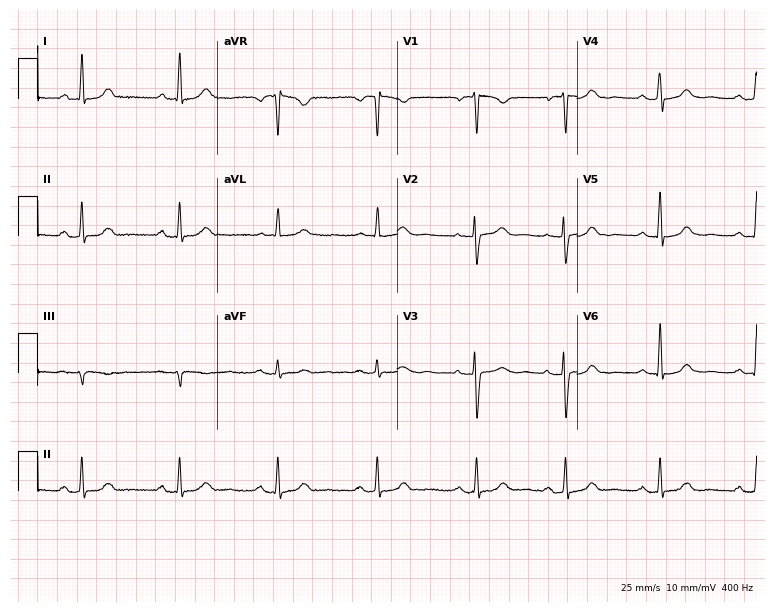
Electrocardiogram, a 61-year-old woman. Overall reading on record: normal ECG.